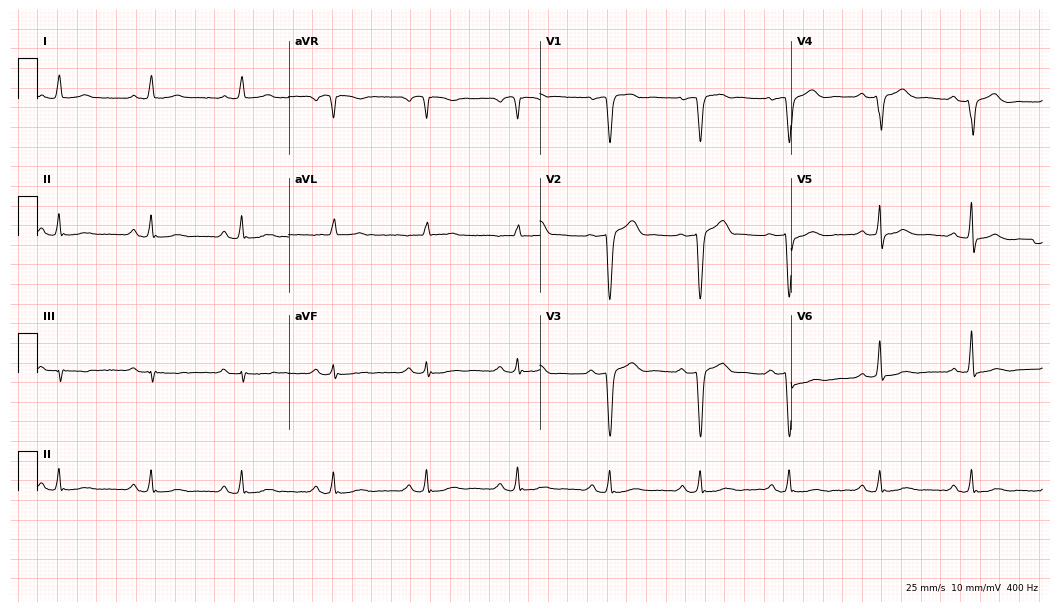
Standard 12-lead ECG recorded from a man, 72 years old (10.2-second recording at 400 Hz). Read as a normal ECG.